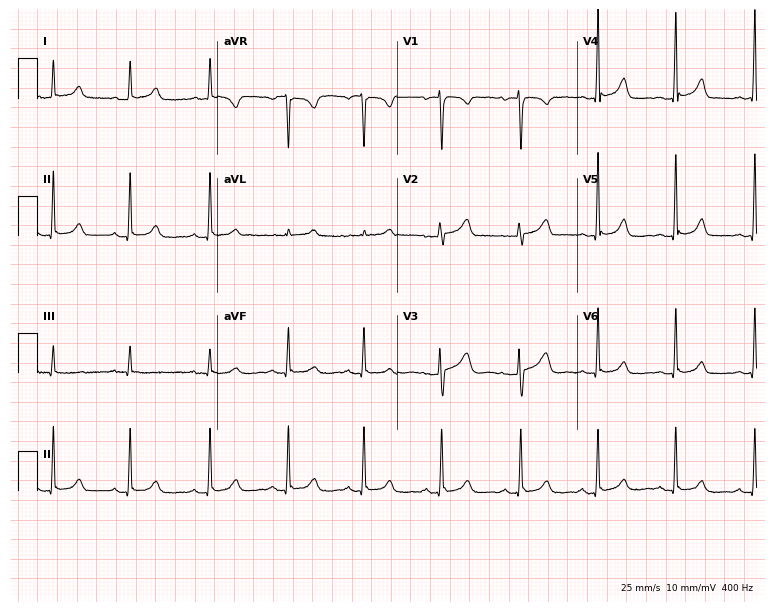
12-lead ECG from a female, 47 years old. Screened for six findings — first-degree AV block, right bundle branch block, left bundle branch block, sinus bradycardia, atrial fibrillation, sinus tachycardia — none is recorded.